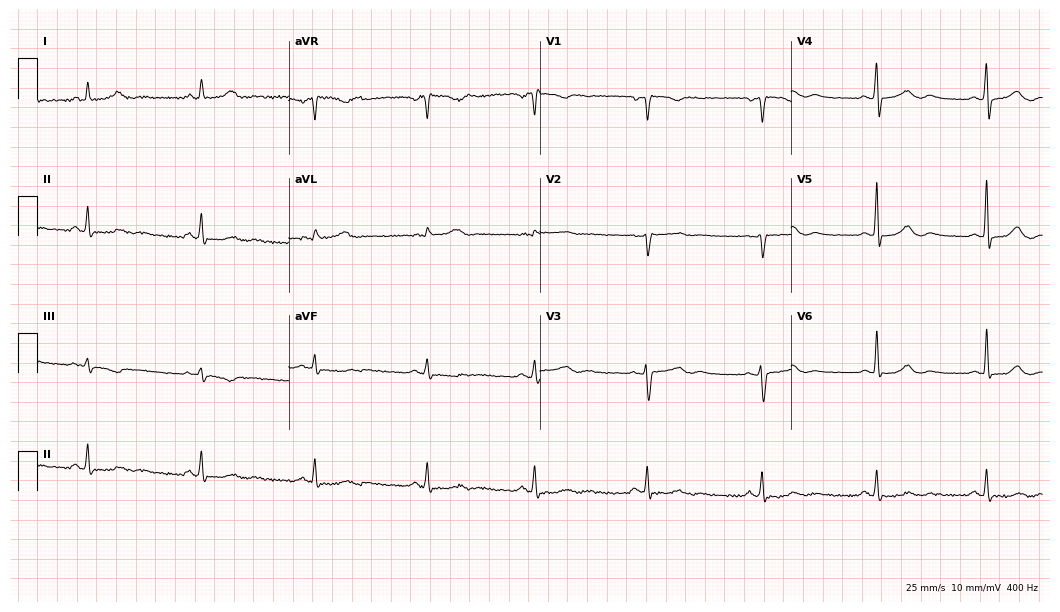
Standard 12-lead ECG recorded from a female, 50 years old. Read as a normal ECG.